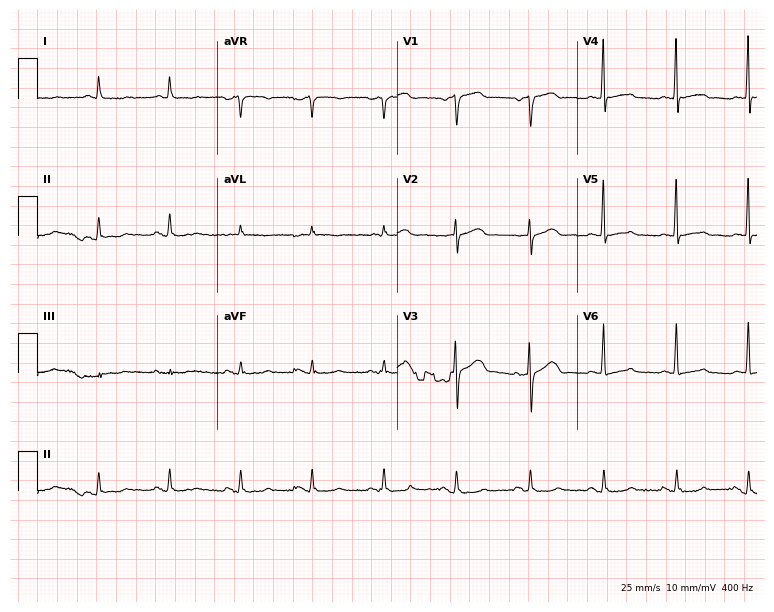
Standard 12-lead ECG recorded from a male patient, 75 years old. None of these six findings is recorded: first-degree AV block, right bundle branch block (RBBB), left bundle branch block (LBBB), sinus bradycardia, atrial fibrillation (AF), sinus tachycardia. Other findings, if any, are not listed.